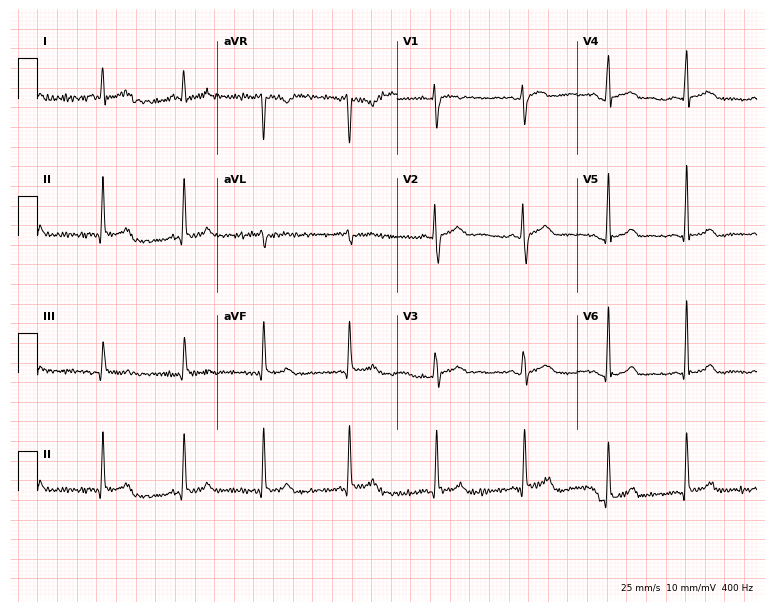
Standard 12-lead ECG recorded from a 49-year-old female patient (7.3-second recording at 400 Hz). None of these six findings is recorded: first-degree AV block, right bundle branch block, left bundle branch block, sinus bradycardia, atrial fibrillation, sinus tachycardia.